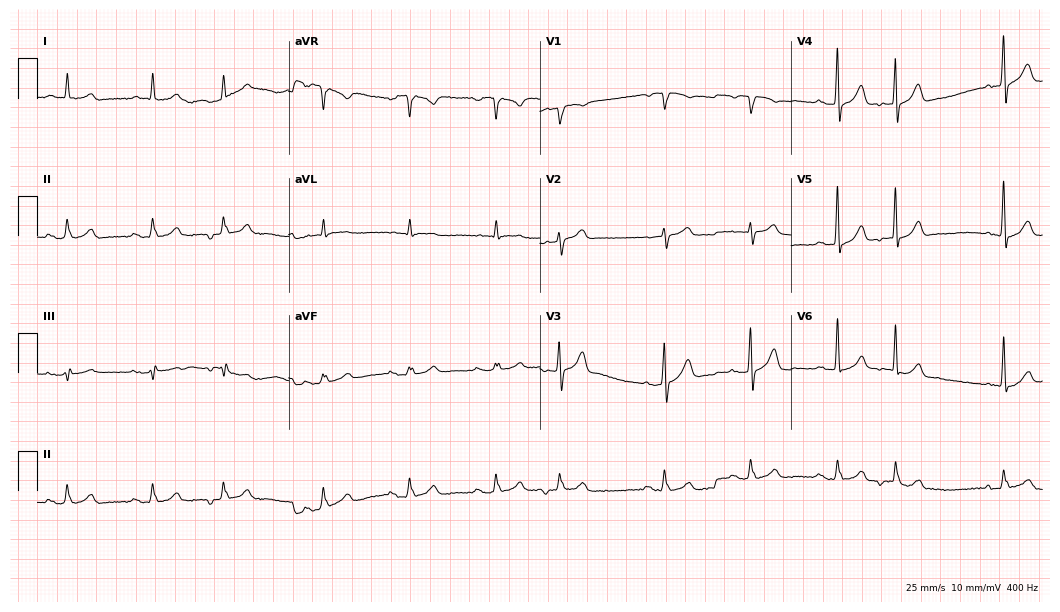
Electrocardiogram, a man, 87 years old. Overall reading on record: normal ECG.